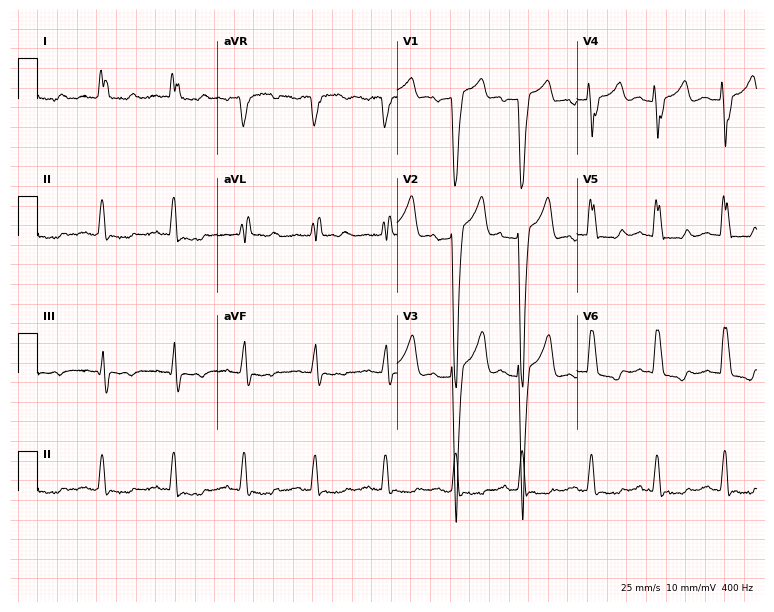
Electrocardiogram (7.3-second recording at 400 Hz), a 62-year-old man. Interpretation includes left bundle branch block (LBBB).